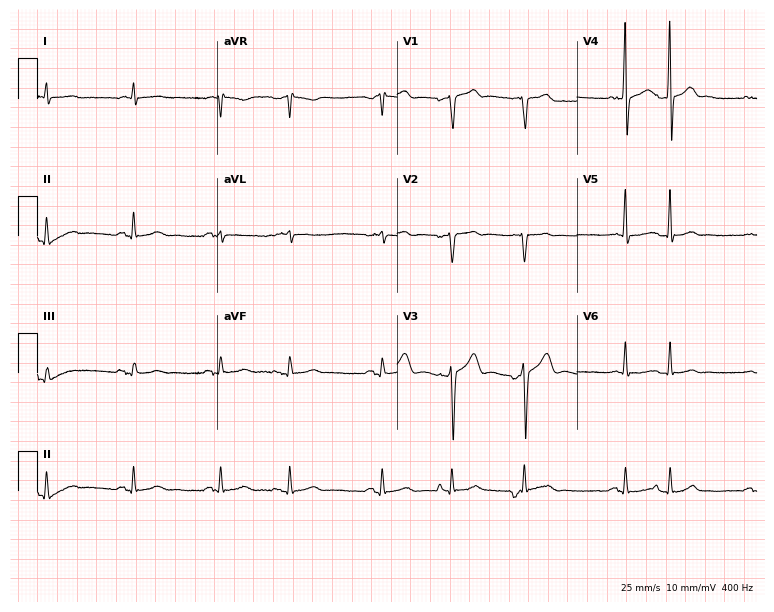
Resting 12-lead electrocardiogram (7.3-second recording at 400 Hz). Patient: a man, 77 years old. None of these six findings is recorded: first-degree AV block, right bundle branch block, left bundle branch block, sinus bradycardia, atrial fibrillation, sinus tachycardia. Only these six findings were labelled.